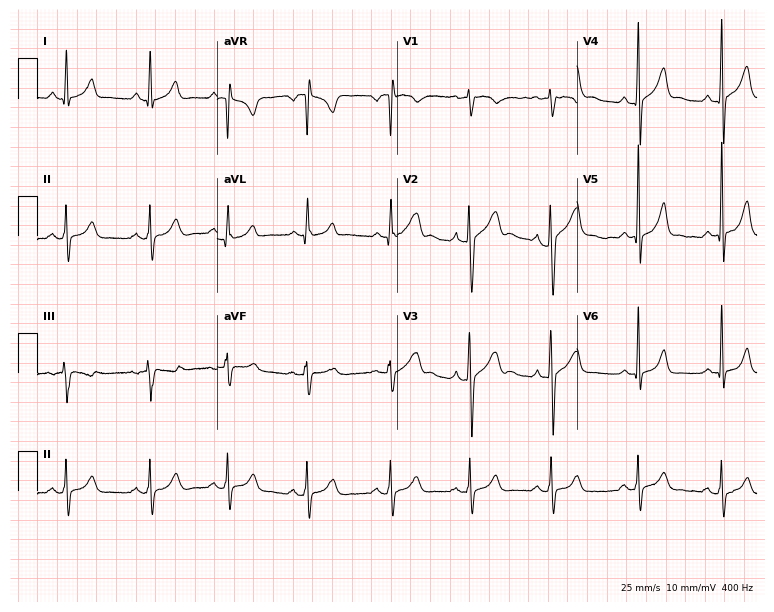
Electrocardiogram, a female patient, 20 years old. Of the six screened findings (first-degree AV block, right bundle branch block (RBBB), left bundle branch block (LBBB), sinus bradycardia, atrial fibrillation (AF), sinus tachycardia), none is recorded.